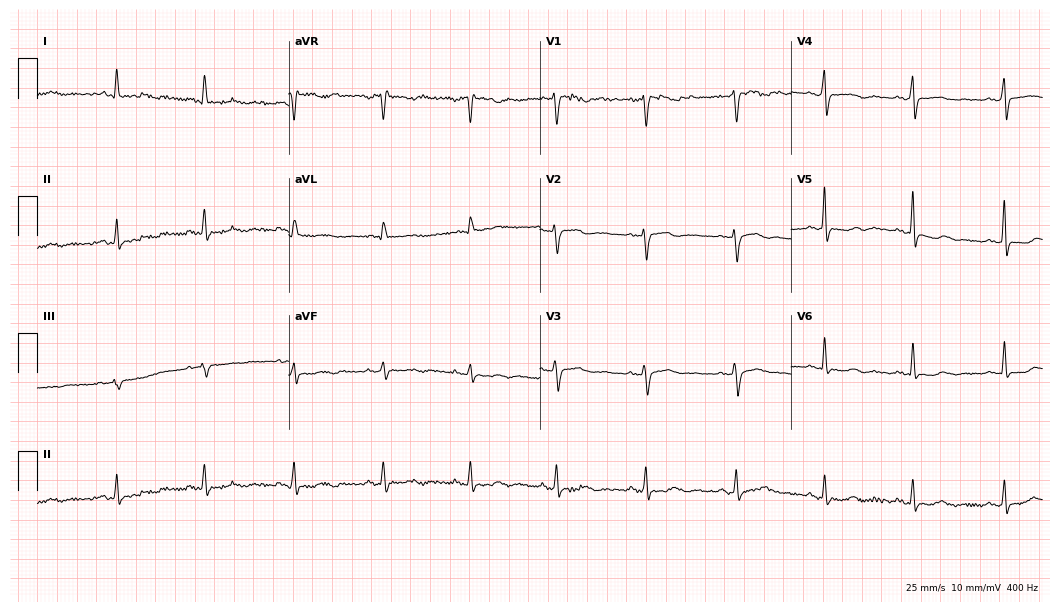
12-lead ECG from a woman, 59 years old. Screened for six findings — first-degree AV block, right bundle branch block, left bundle branch block, sinus bradycardia, atrial fibrillation, sinus tachycardia — none is recorded. Other findings, if any, are not listed.